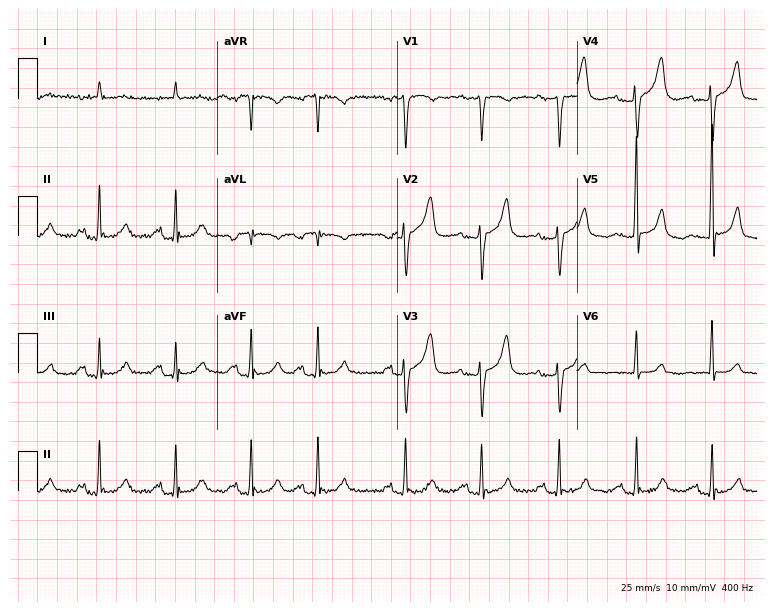
Electrocardiogram (7.3-second recording at 400 Hz), a 76-year-old male patient. Of the six screened findings (first-degree AV block, right bundle branch block (RBBB), left bundle branch block (LBBB), sinus bradycardia, atrial fibrillation (AF), sinus tachycardia), none is recorded.